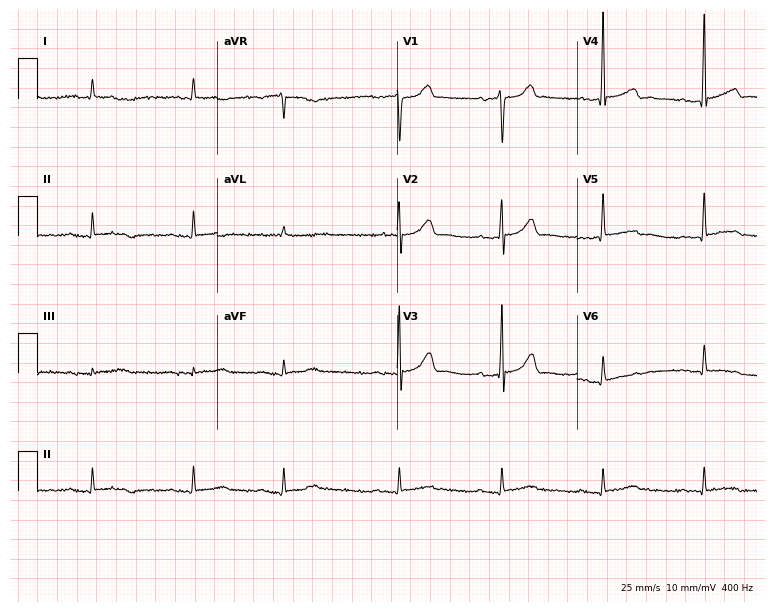
12-lead ECG from a 79-year-old male. No first-degree AV block, right bundle branch block, left bundle branch block, sinus bradycardia, atrial fibrillation or sinus tachycardia recorded for this tracing.